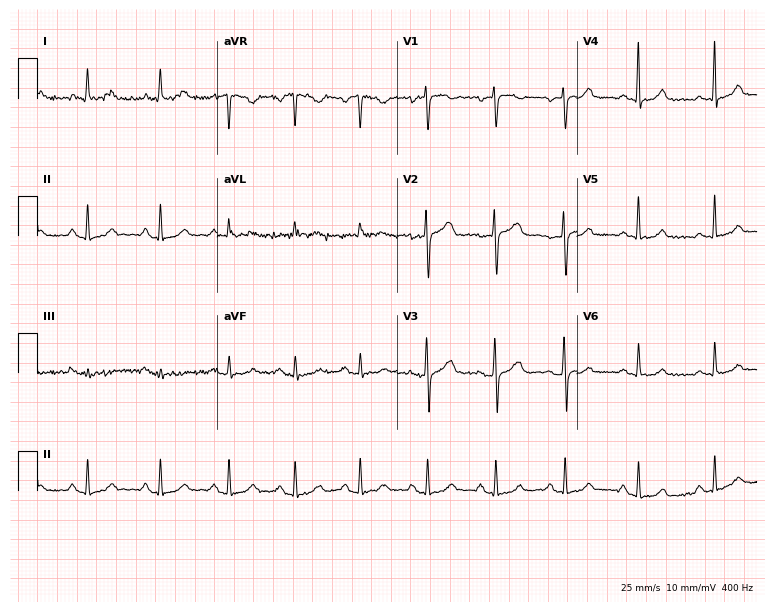
ECG (7.3-second recording at 400 Hz) — a 46-year-old woman. Labelled as a normal ECG.